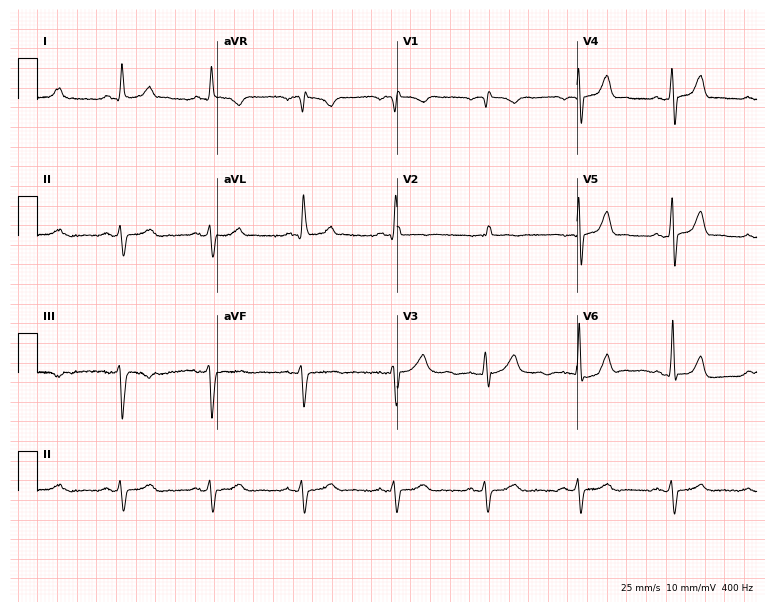
Standard 12-lead ECG recorded from a male patient, 67 years old. Read as a normal ECG.